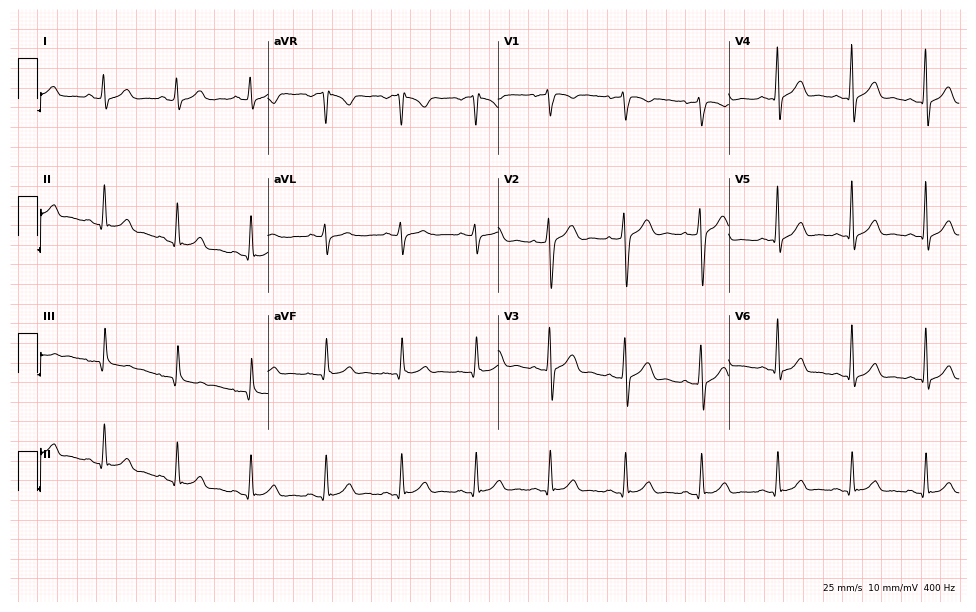
Resting 12-lead electrocardiogram. Patient: a man, 33 years old. Read as a normal ECG.